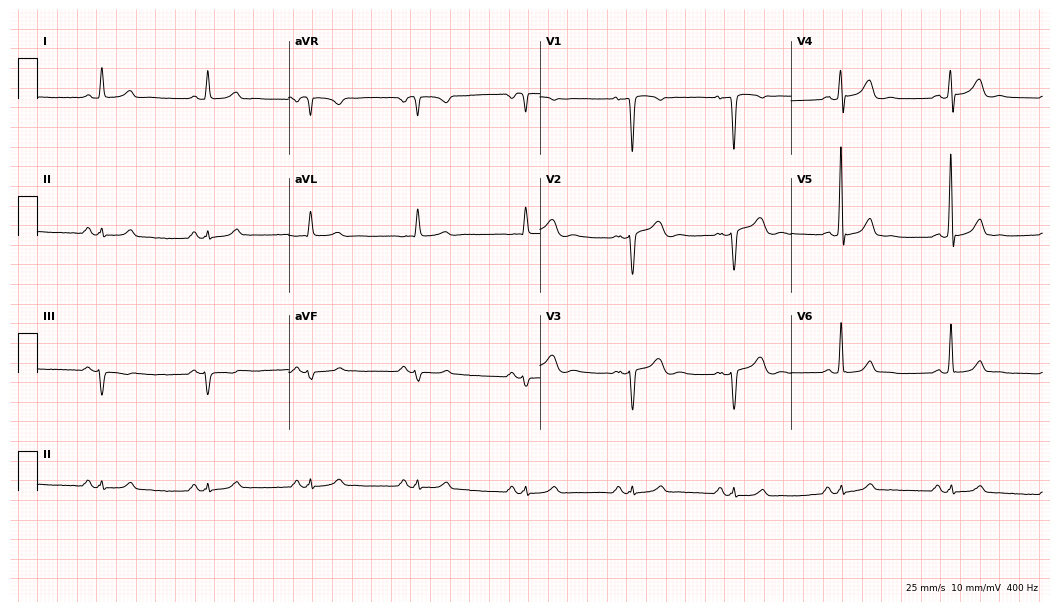
Resting 12-lead electrocardiogram. Patient: a female, 40 years old. Read as a normal ECG.